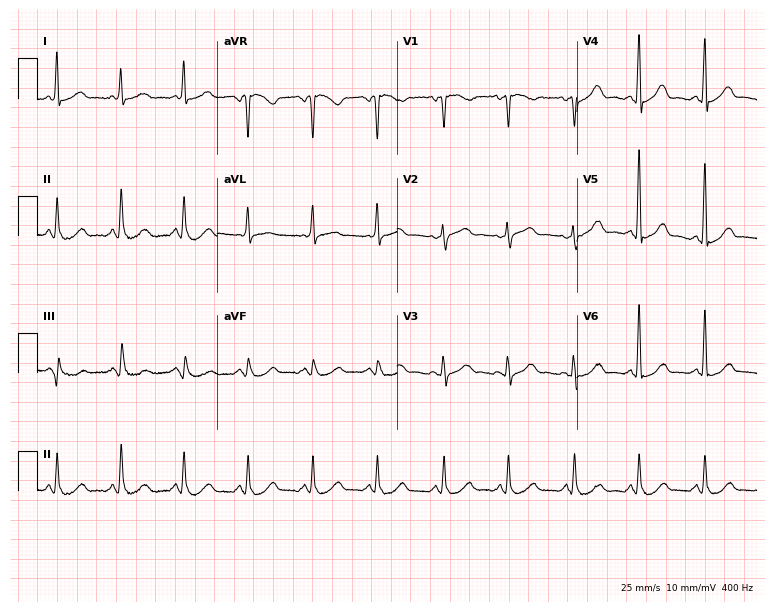
12-lead ECG (7.3-second recording at 400 Hz) from a female, 73 years old. Labelled as a normal ECG.